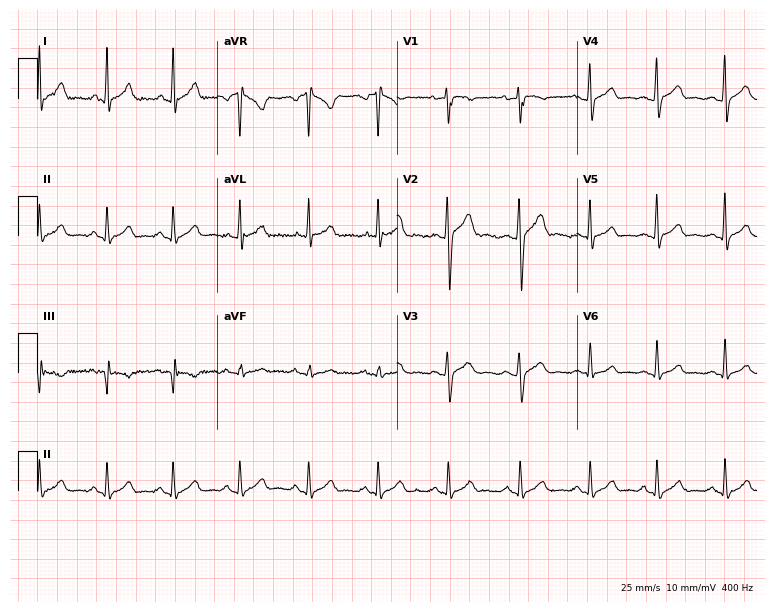
12-lead ECG from a 24-year-old male patient (7.3-second recording at 400 Hz). Recorded interpretation: within normal limits.